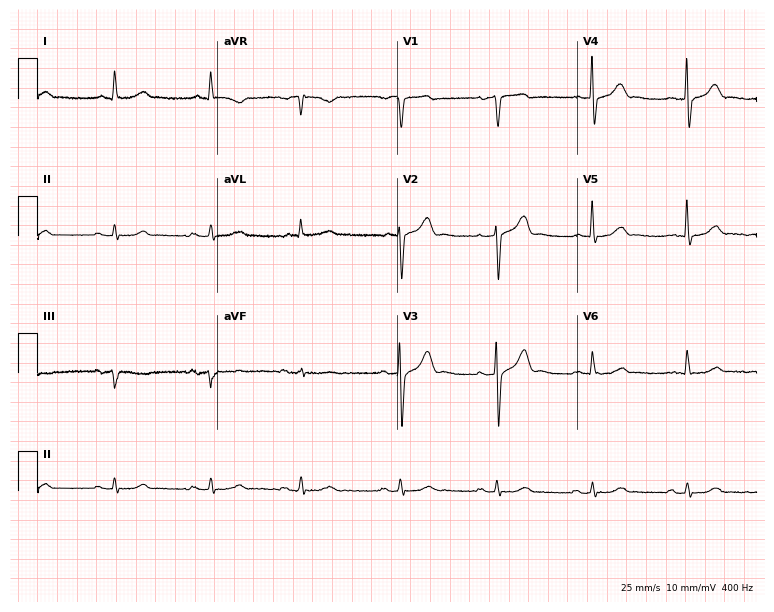
Standard 12-lead ECG recorded from a male patient, 75 years old. Read as a normal ECG.